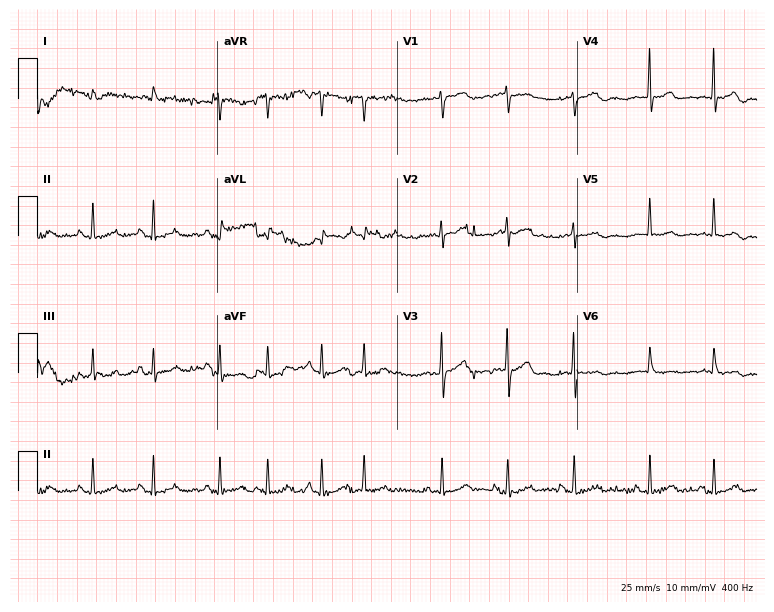
12-lead ECG from a 77-year-old man. Screened for six findings — first-degree AV block, right bundle branch block (RBBB), left bundle branch block (LBBB), sinus bradycardia, atrial fibrillation (AF), sinus tachycardia — none is recorded. Findings outside these six are not listed.